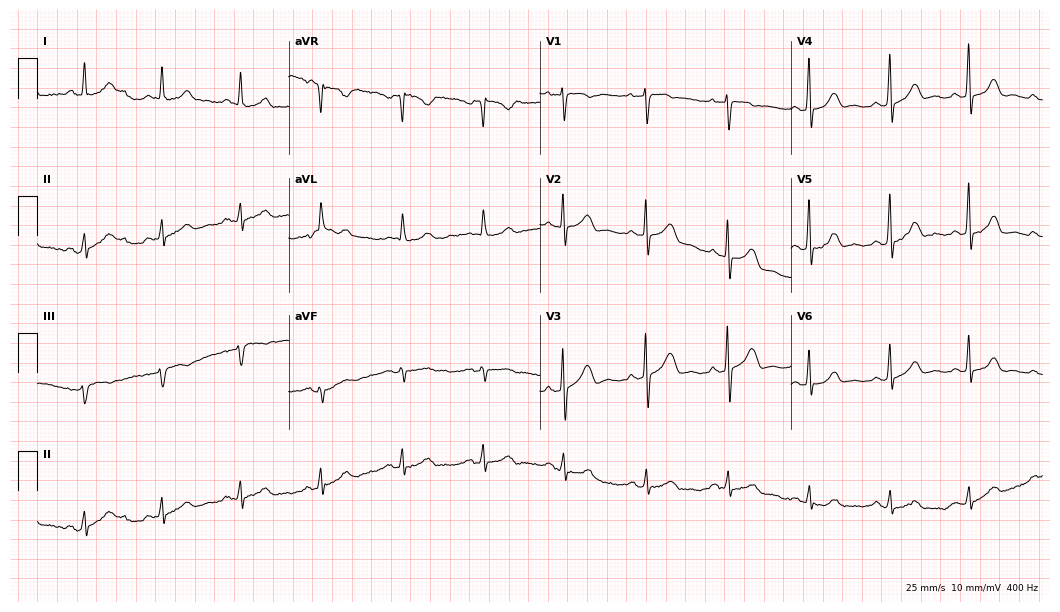
Resting 12-lead electrocardiogram. Patient: a 65-year-old female. None of these six findings is recorded: first-degree AV block, right bundle branch block (RBBB), left bundle branch block (LBBB), sinus bradycardia, atrial fibrillation (AF), sinus tachycardia.